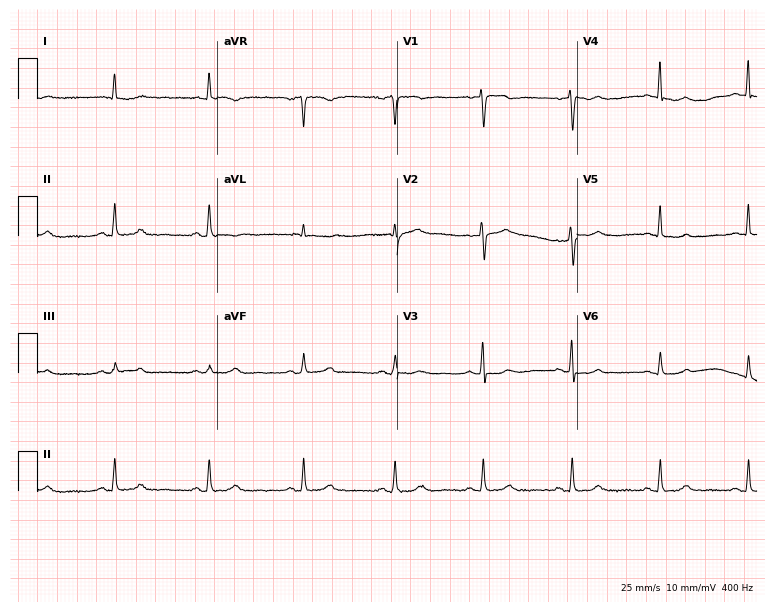
12-lead ECG from a female patient, 67 years old (7.3-second recording at 400 Hz). No first-degree AV block, right bundle branch block (RBBB), left bundle branch block (LBBB), sinus bradycardia, atrial fibrillation (AF) or sinus tachycardia recorded for this tracing. Other findings, if any, are not listed.